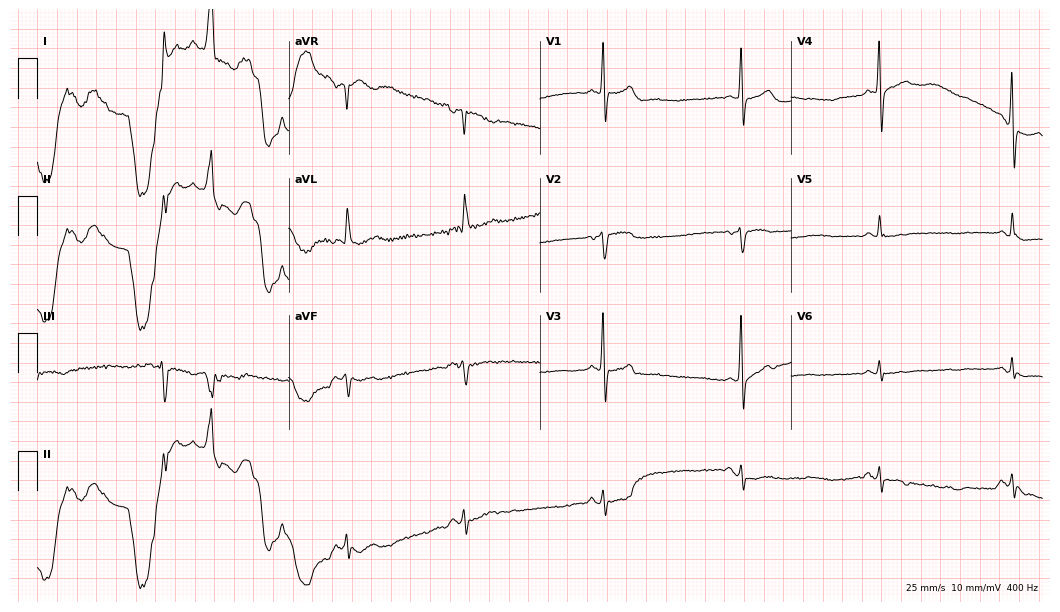
Resting 12-lead electrocardiogram (10.2-second recording at 400 Hz). Patient: a 69-year-old man. None of these six findings is recorded: first-degree AV block, right bundle branch block (RBBB), left bundle branch block (LBBB), sinus bradycardia, atrial fibrillation (AF), sinus tachycardia. Other findings, if any, are not listed.